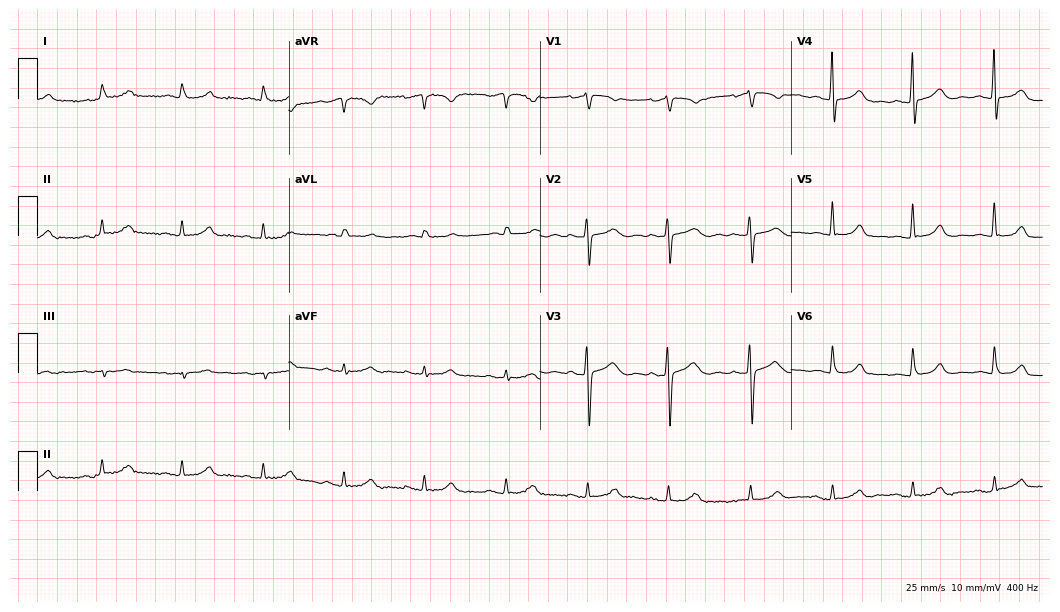
Standard 12-lead ECG recorded from an 80-year-old woman. Read as a normal ECG.